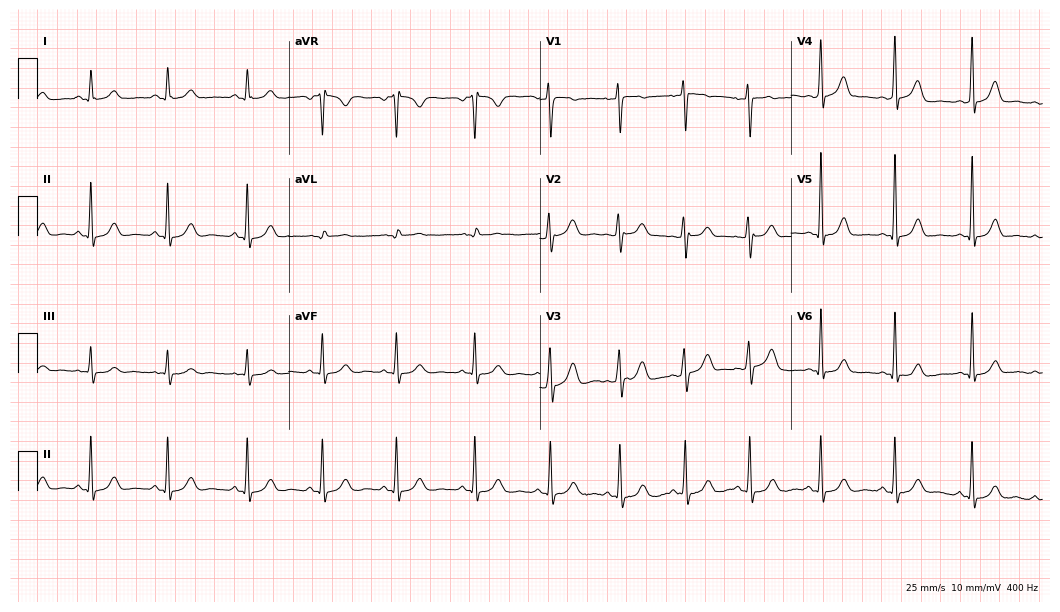
Electrocardiogram (10.2-second recording at 400 Hz), a woman, 29 years old. Overall reading on record: normal ECG.